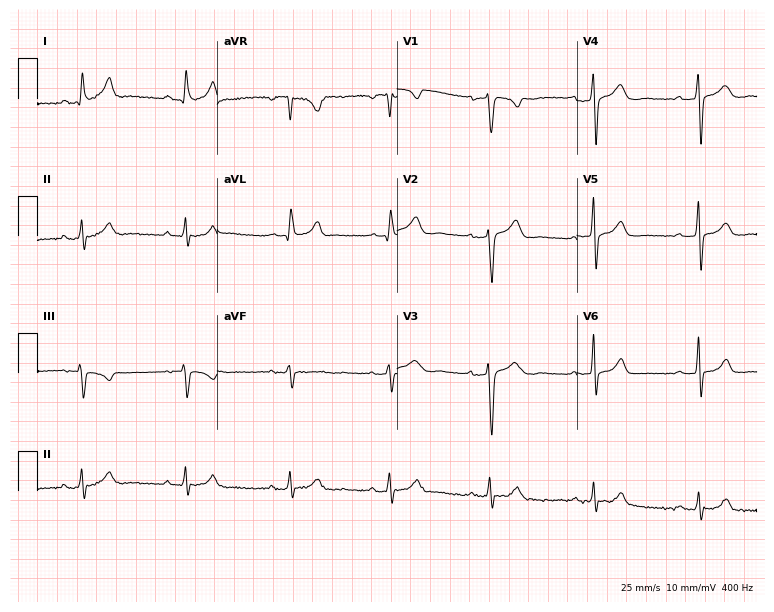
Resting 12-lead electrocardiogram (7.3-second recording at 400 Hz). Patient: a female, 48 years old. None of these six findings is recorded: first-degree AV block, right bundle branch block, left bundle branch block, sinus bradycardia, atrial fibrillation, sinus tachycardia.